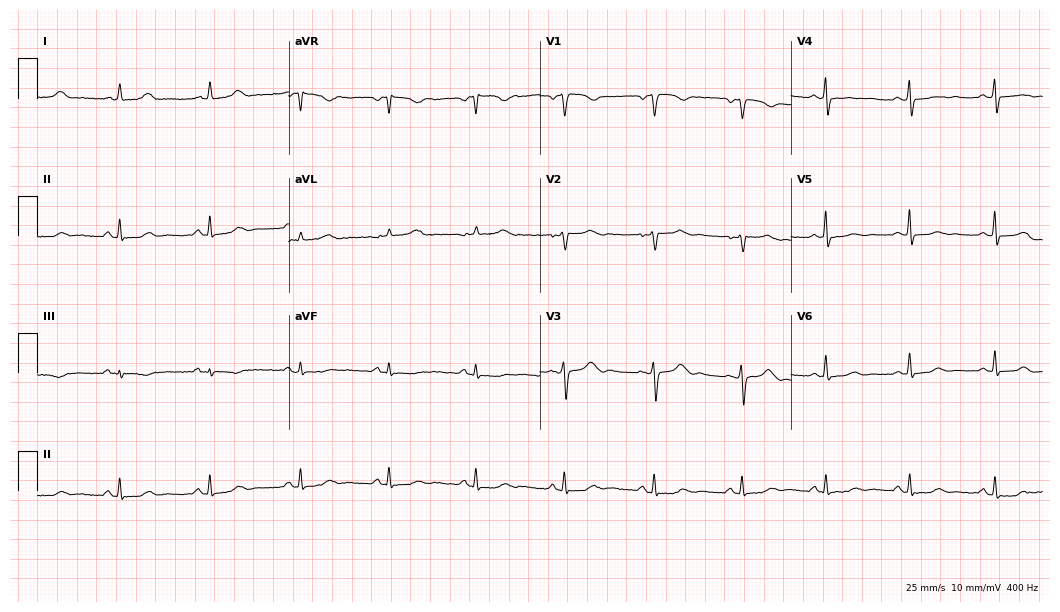
Resting 12-lead electrocardiogram (10.2-second recording at 400 Hz). Patient: a 38-year-old female. Read as a normal ECG.